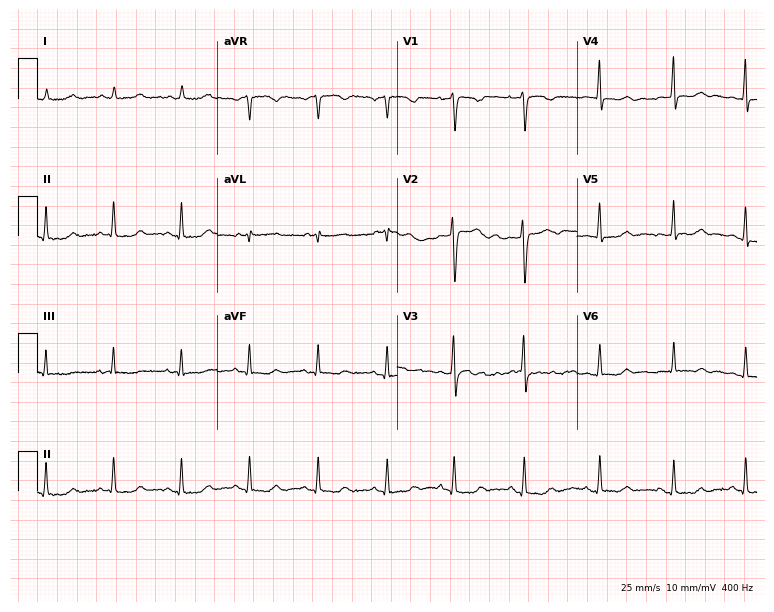
Electrocardiogram, a 31-year-old woman. Of the six screened findings (first-degree AV block, right bundle branch block, left bundle branch block, sinus bradycardia, atrial fibrillation, sinus tachycardia), none is recorded. Other findings, if any, are not listed.